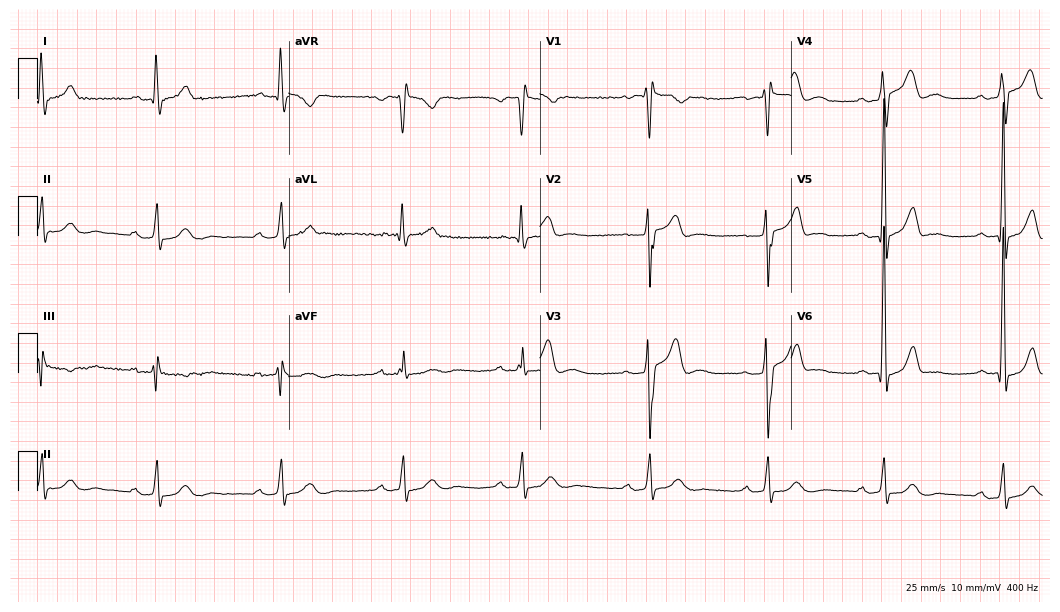
Electrocardiogram, a 45-year-old man. Of the six screened findings (first-degree AV block, right bundle branch block (RBBB), left bundle branch block (LBBB), sinus bradycardia, atrial fibrillation (AF), sinus tachycardia), none is recorded.